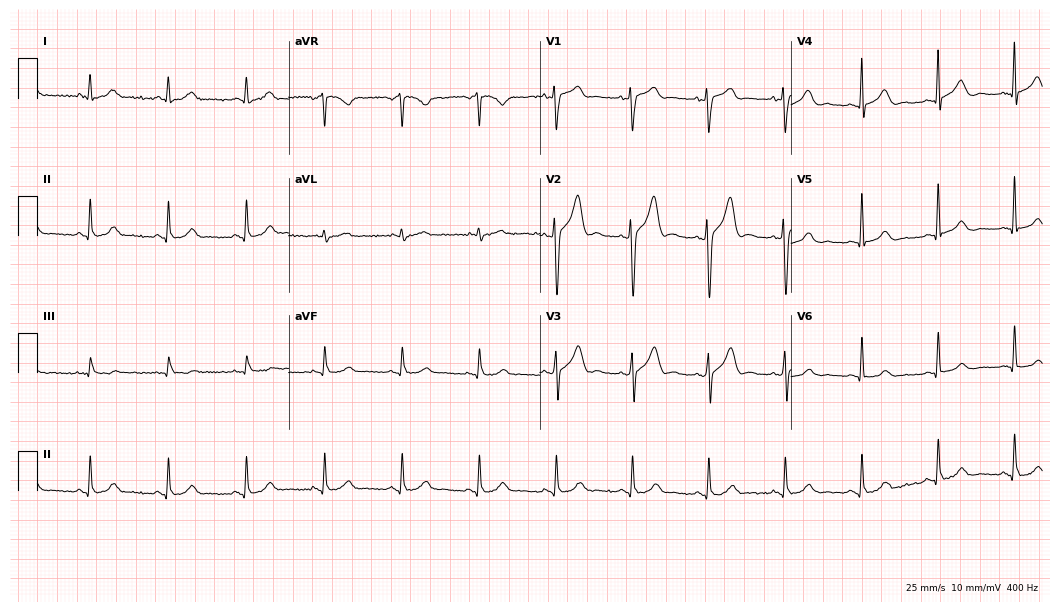
Resting 12-lead electrocardiogram. Patient: a male, 41 years old. Read as a normal ECG.